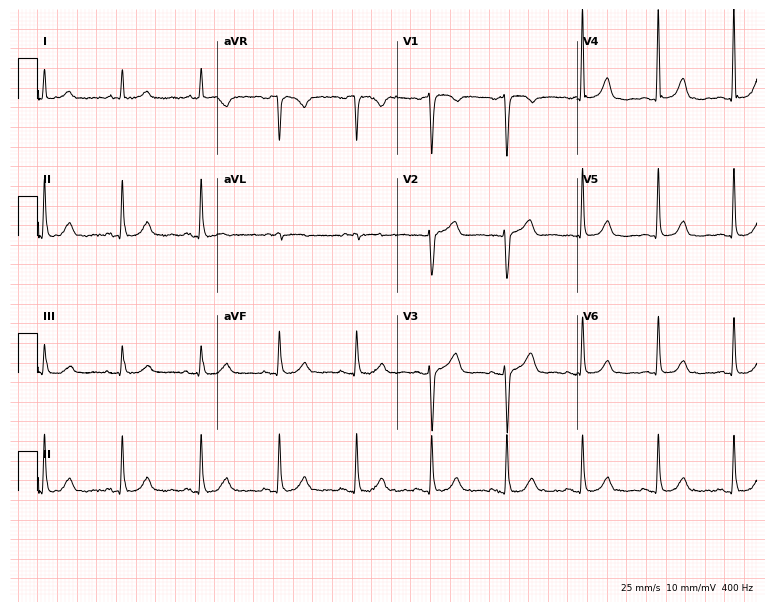
Standard 12-lead ECG recorded from a woman, 70 years old. Read as a normal ECG.